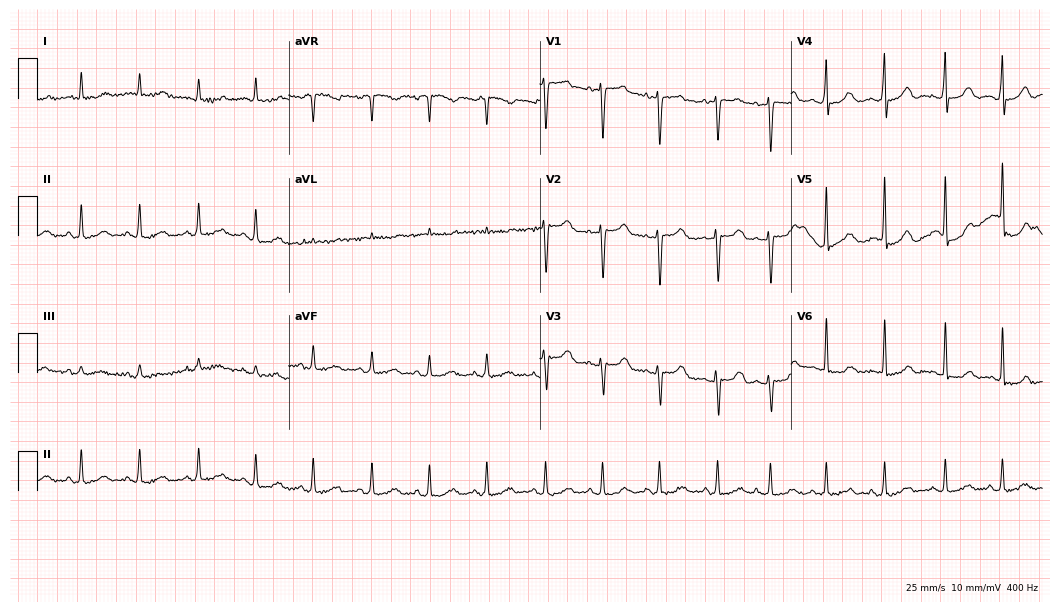
Standard 12-lead ECG recorded from a 66-year-old woman (10.2-second recording at 400 Hz). The tracing shows sinus tachycardia (a sinus rate of 100 beats per minute or more).